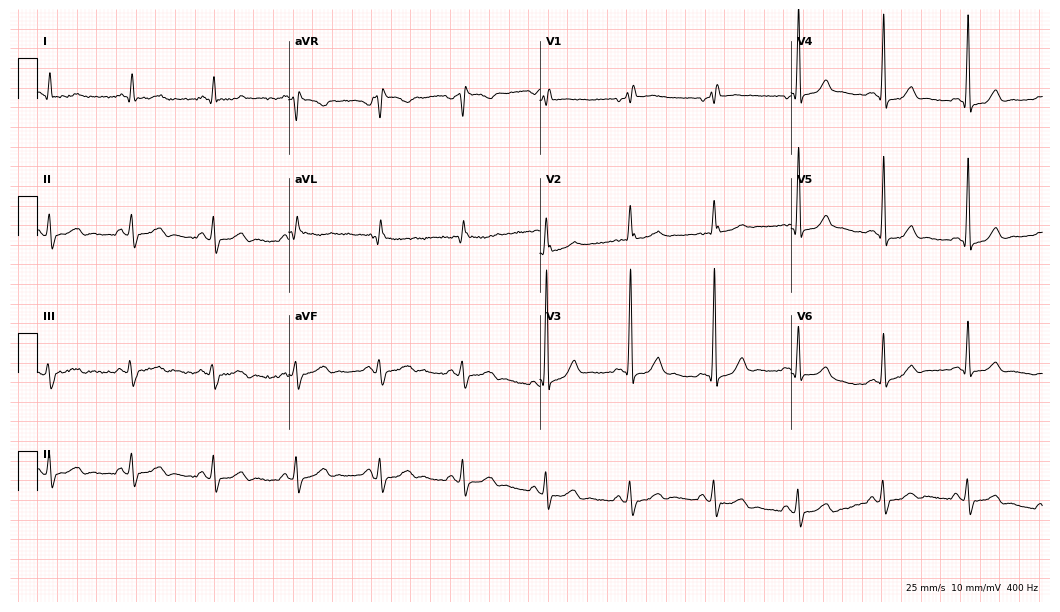
Standard 12-lead ECG recorded from a 66-year-old male. The tracing shows right bundle branch block.